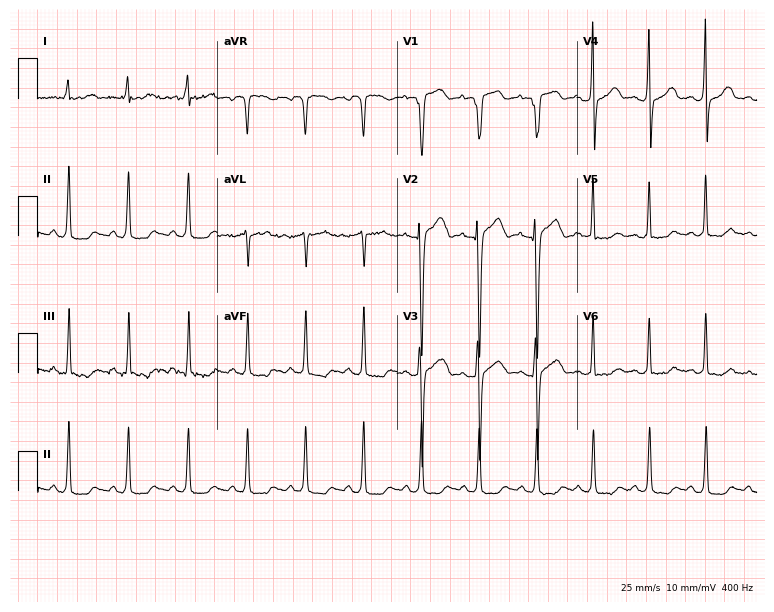
Resting 12-lead electrocardiogram. Patient: a male, 22 years old. The tracing shows sinus tachycardia (a sinus rate of 100 beats per minute or more).